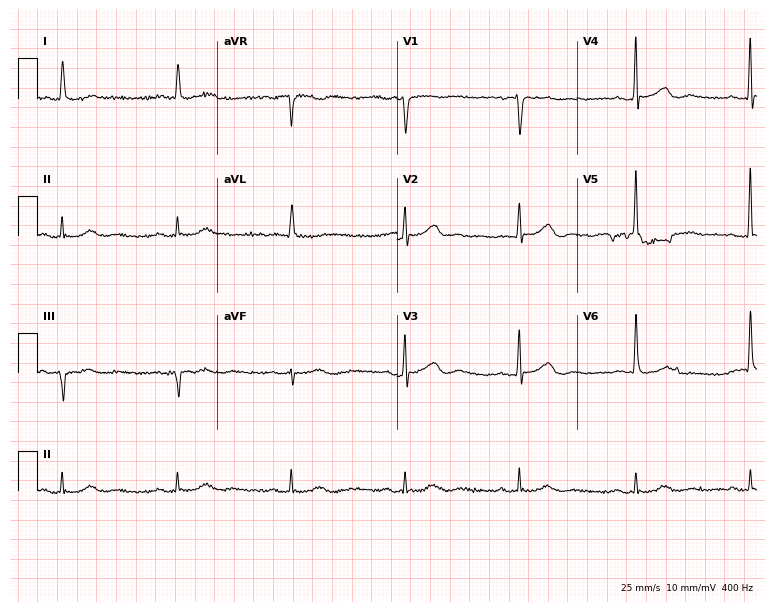
ECG (7.3-second recording at 400 Hz) — a female patient, 62 years old. Screened for six findings — first-degree AV block, right bundle branch block, left bundle branch block, sinus bradycardia, atrial fibrillation, sinus tachycardia — none is recorded.